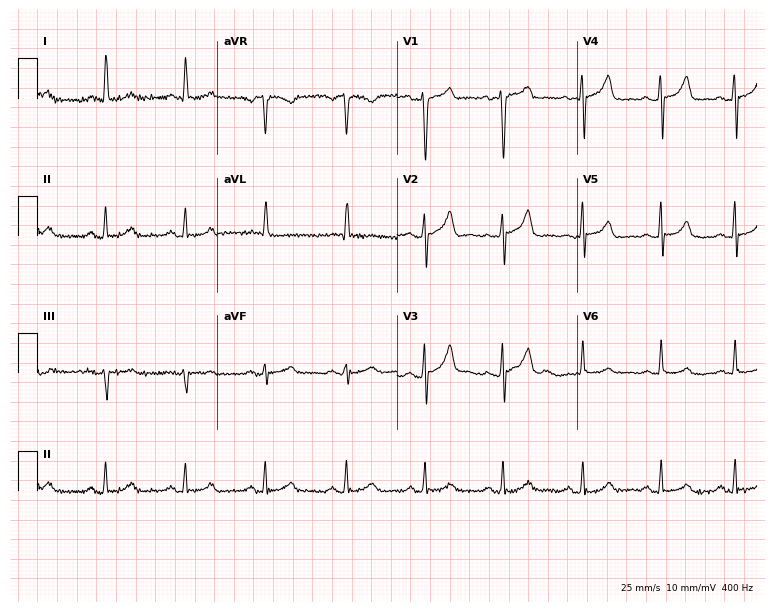
Standard 12-lead ECG recorded from a female patient, 64 years old (7.3-second recording at 400 Hz). Read as a normal ECG.